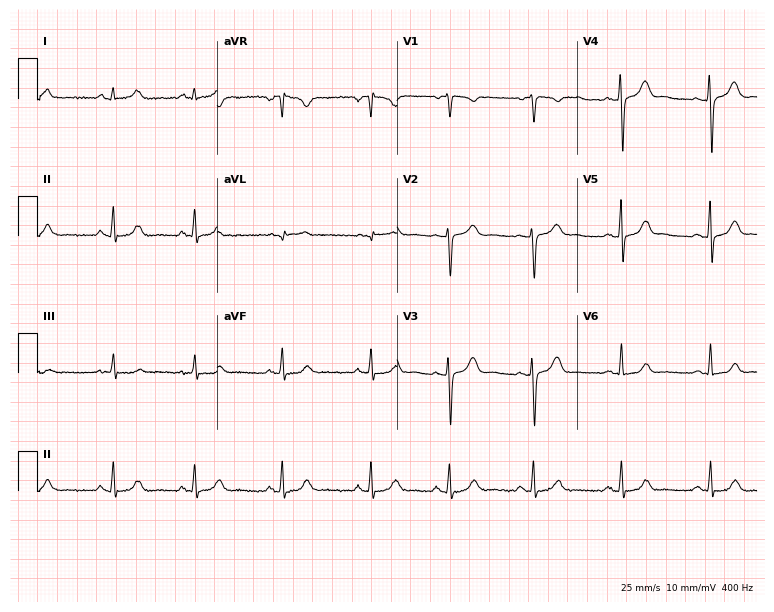
ECG (7.3-second recording at 400 Hz) — a female patient, 34 years old. Labelled as a normal ECG.